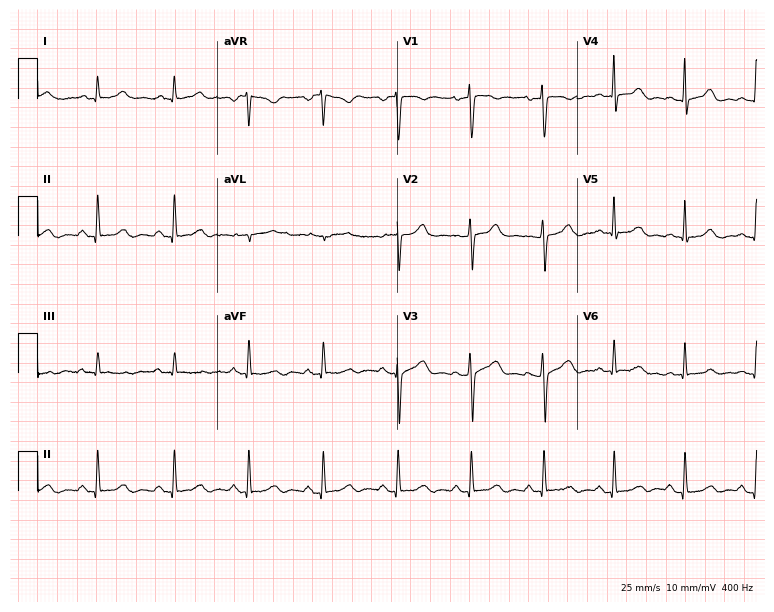
ECG — a 49-year-old female patient. Labelled as a normal ECG.